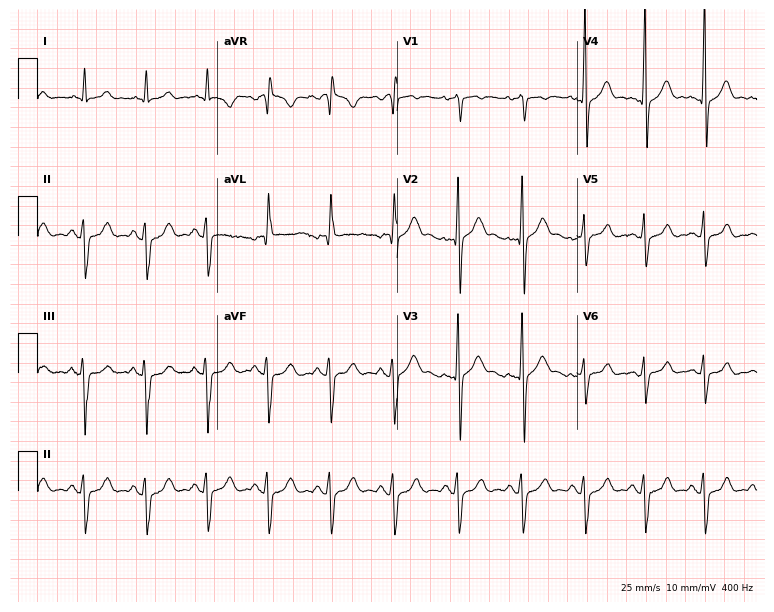
Standard 12-lead ECG recorded from a 28-year-old man. Read as a normal ECG.